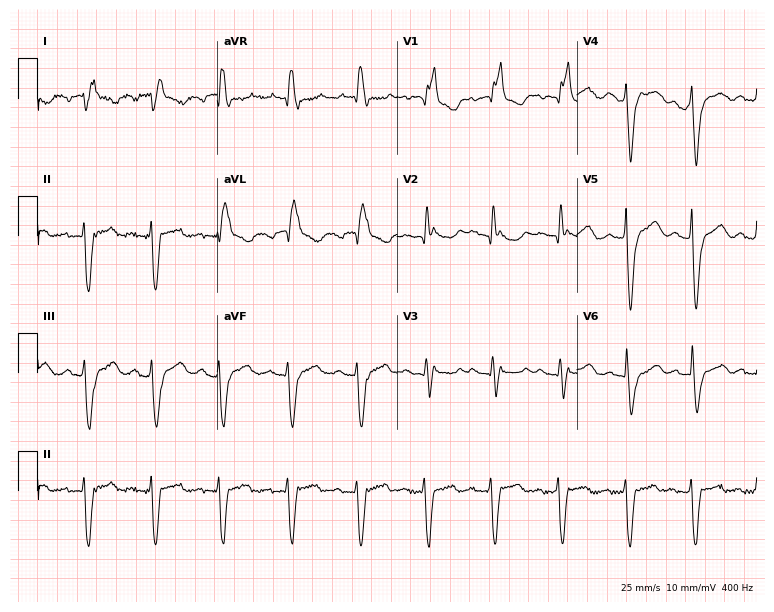
Standard 12-lead ECG recorded from a female patient, 75 years old. None of these six findings is recorded: first-degree AV block, right bundle branch block, left bundle branch block, sinus bradycardia, atrial fibrillation, sinus tachycardia. Findings outside these six are not listed.